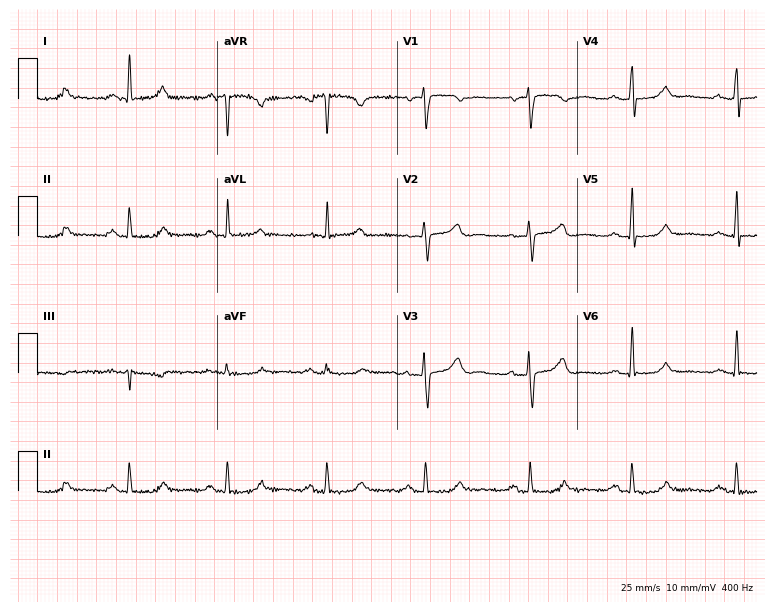
12-lead ECG from a female patient, 69 years old (7.3-second recording at 400 Hz). Recorded interpretation: within normal limits.